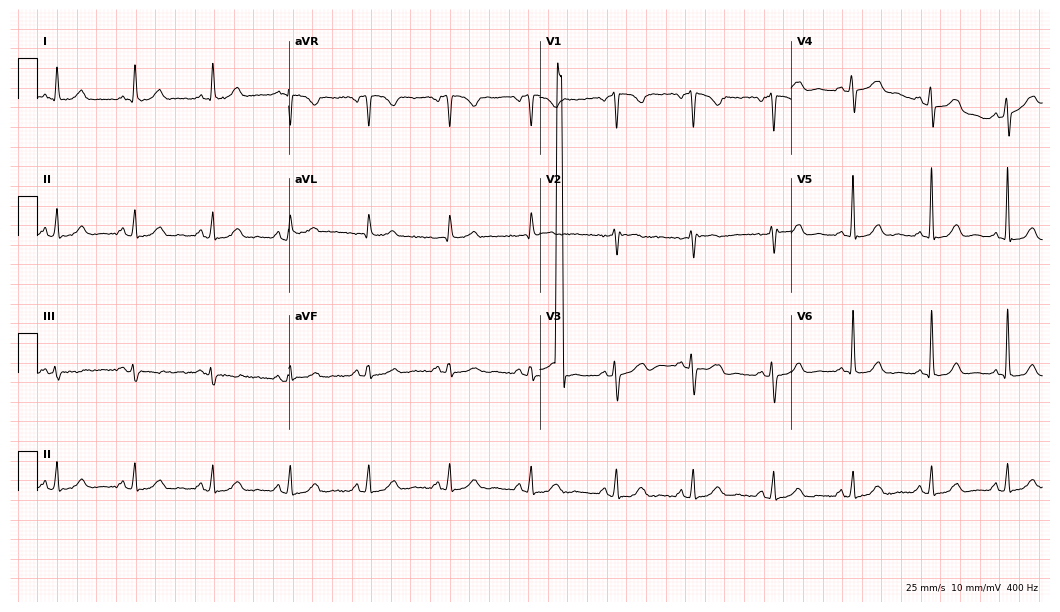
Resting 12-lead electrocardiogram (10.2-second recording at 400 Hz). Patient: a 51-year-old female. Read as a normal ECG.